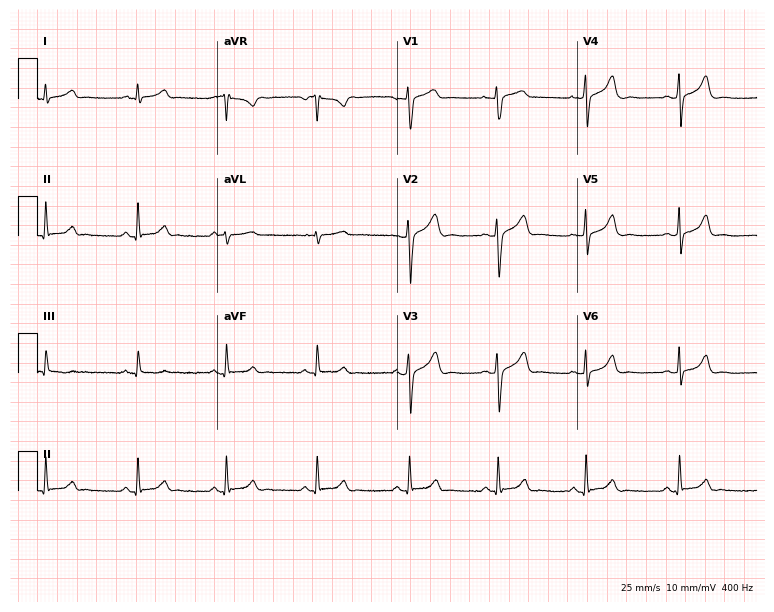
Electrocardiogram, a 20-year-old female patient. Of the six screened findings (first-degree AV block, right bundle branch block, left bundle branch block, sinus bradycardia, atrial fibrillation, sinus tachycardia), none is recorded.